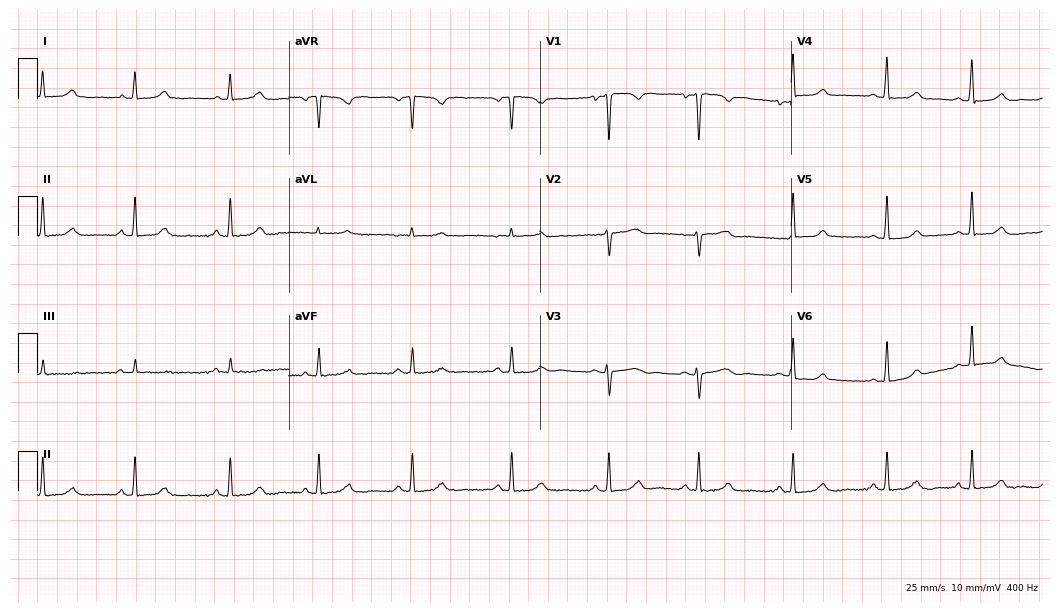
Standard 12-lead ECG recorded from a 39-year-old female (10.2-second recording at 400 Hz). Read as a normal ECG.